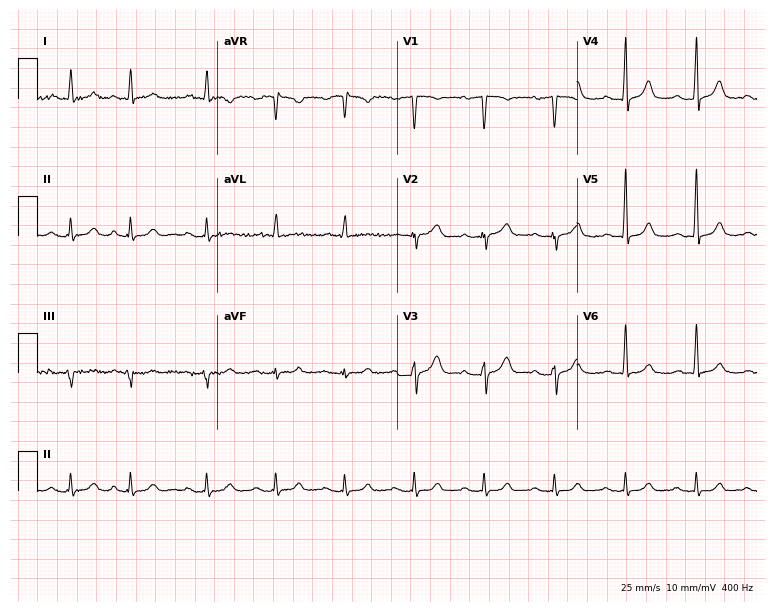
12-lead ECG from a 78-year-old man. Screened for six findings — first-degree AV block, right bundle branch block (RBBB), left bundle branch block (LBBB), sinus bradycardia, atrial fibrillation (AF), sinus tachycardia — none is recorded.